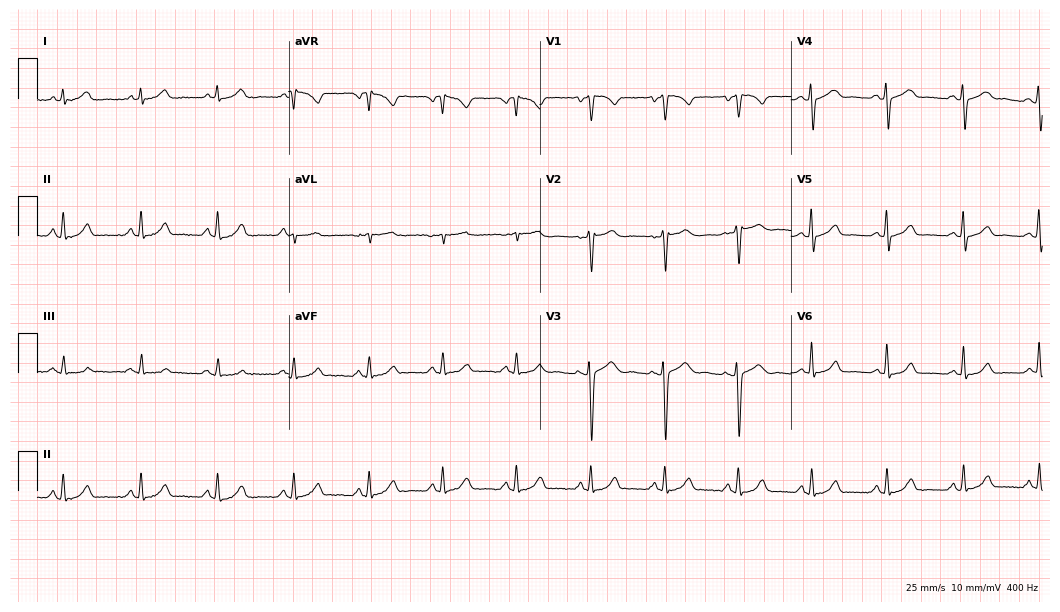
Resting 12-lead electrocardiogram (10.2-second recording at 400 Hz). Patient: a 39-year-old woman. Read as a normal ECG.